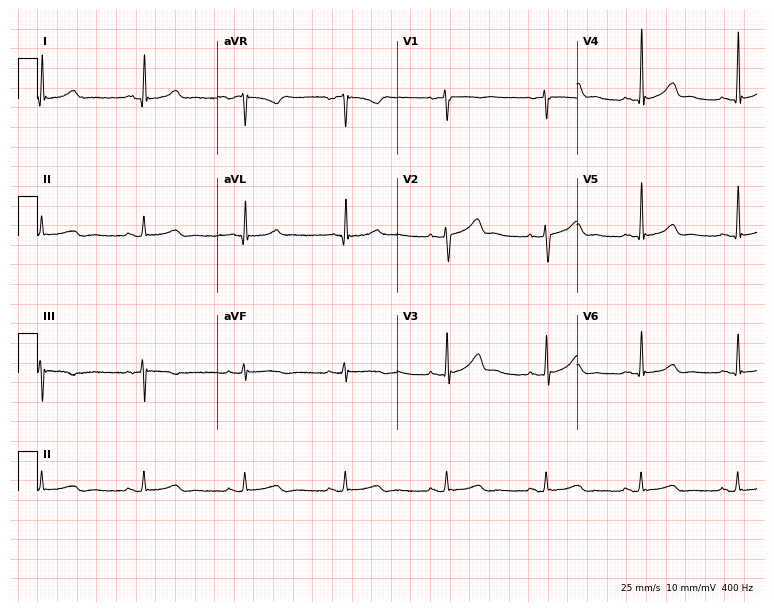
12-lead ECG from a woman, 42 years old. Labelled as a normal ECG.